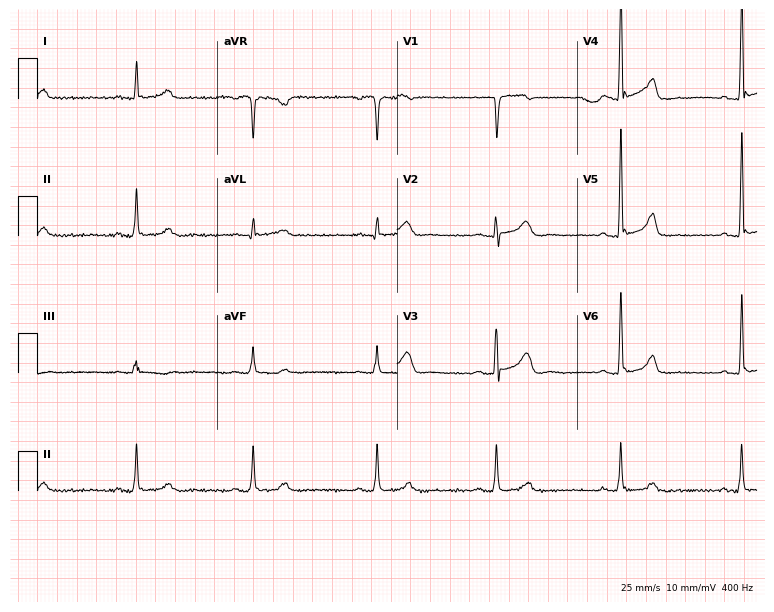
ECG (7.3-second recording at 400 Hz) — a male, 46 years old. Labelled as a normal ECG.